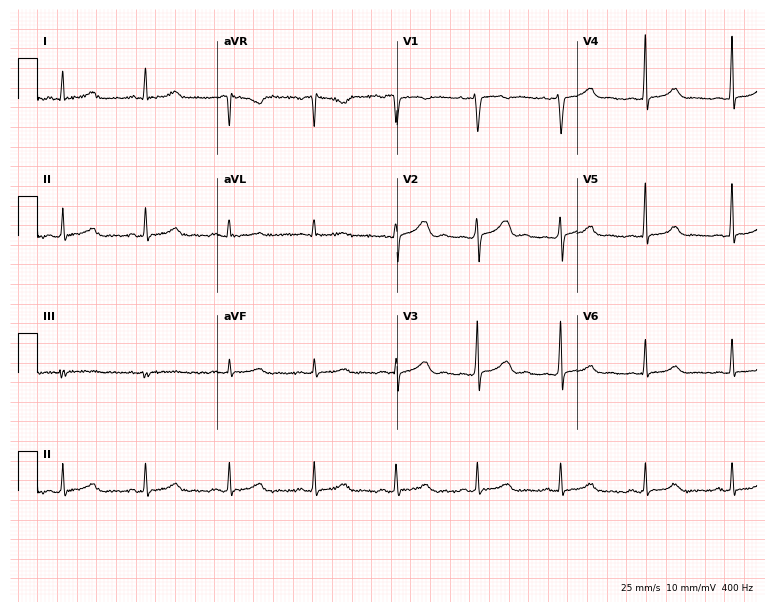
ECG — a 35-year-old female patient. Labelled as a normal ECG.